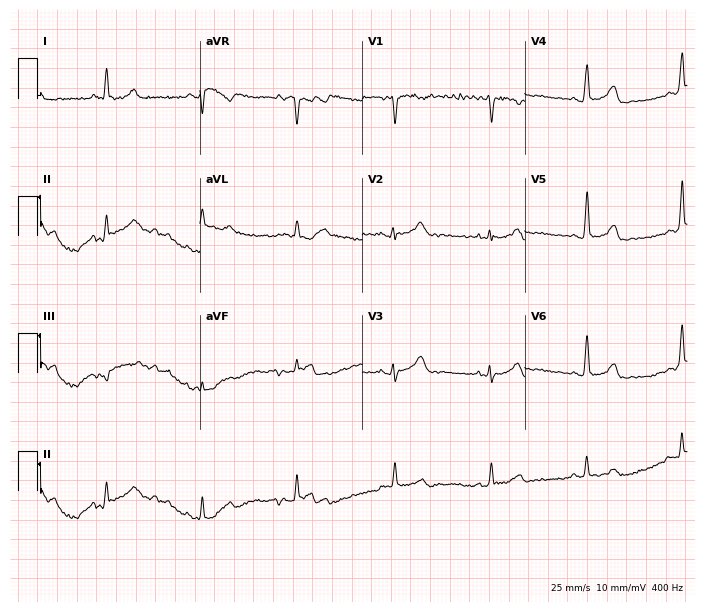
12-lead ECG from a male, 43 years old (6.6-second recording at 400 Hz). Recorded interpretation: within normal limits.